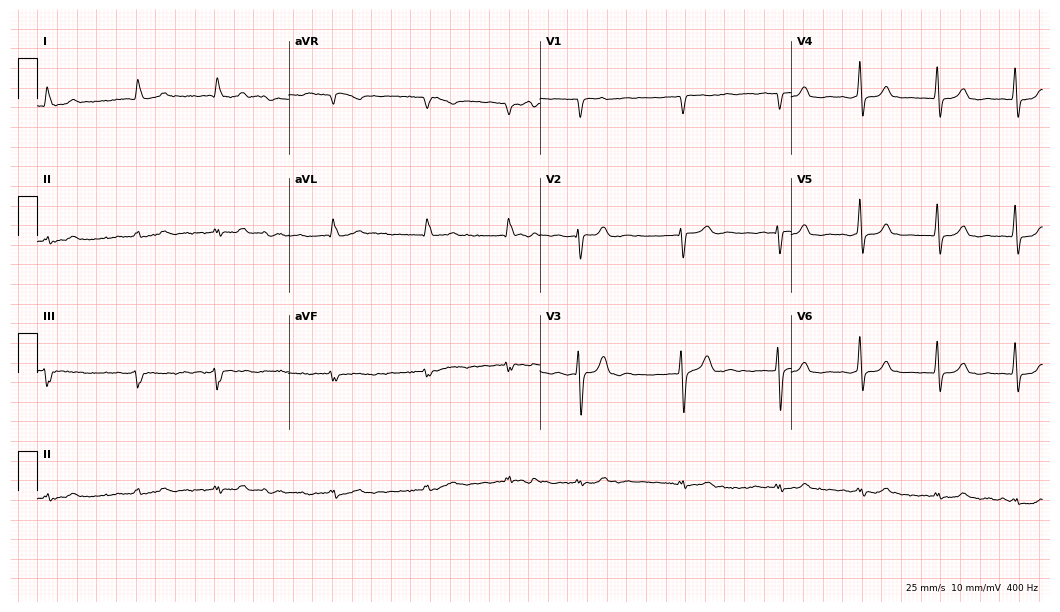
12-lead ECG from a 79-year-old male. Shows atrial fibrillation.